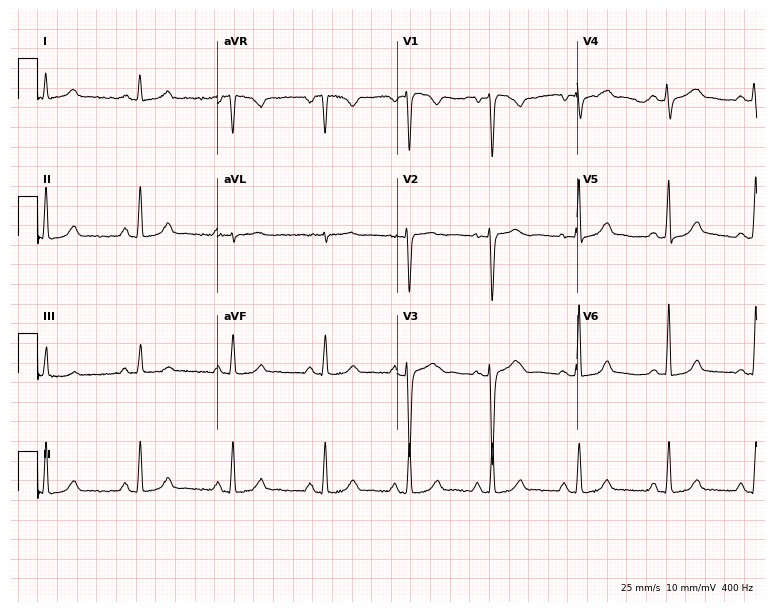
12-lead ECG from a 35-year-old woman. Screened for six findings — first-degree AV block, right bundle branch block (RBBB), left bundle branch block (LBBB), sinus bradycardia, atrial fibrillation (AF), sinus tachycardia — none is recorded.